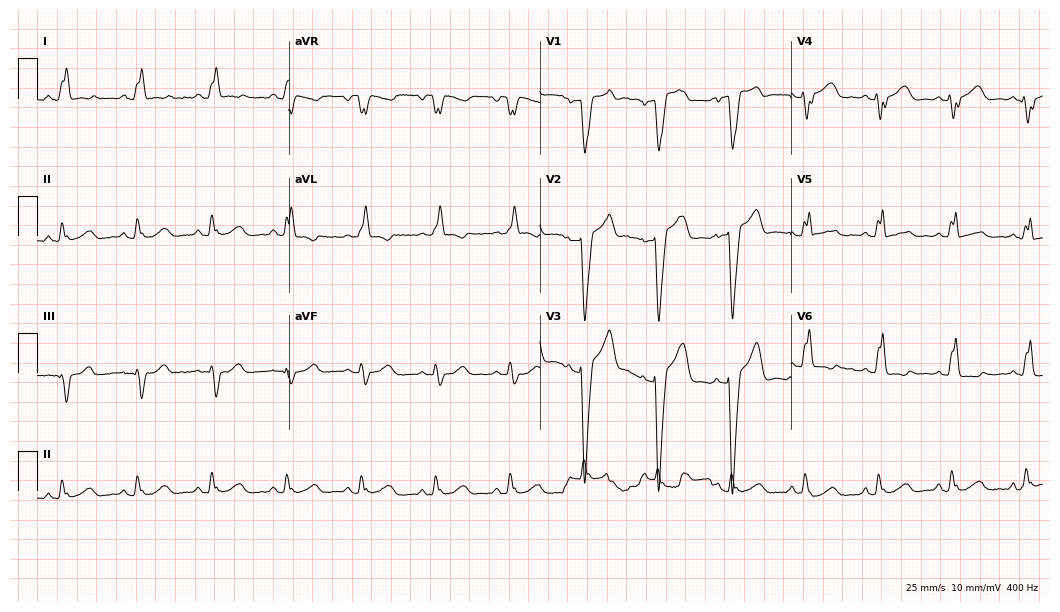
Resting 12-lead electrocardiogram (10.2-second recording at 400 Hz). Patient: a female, 57 years old. The tracing shows left bundle branch block.